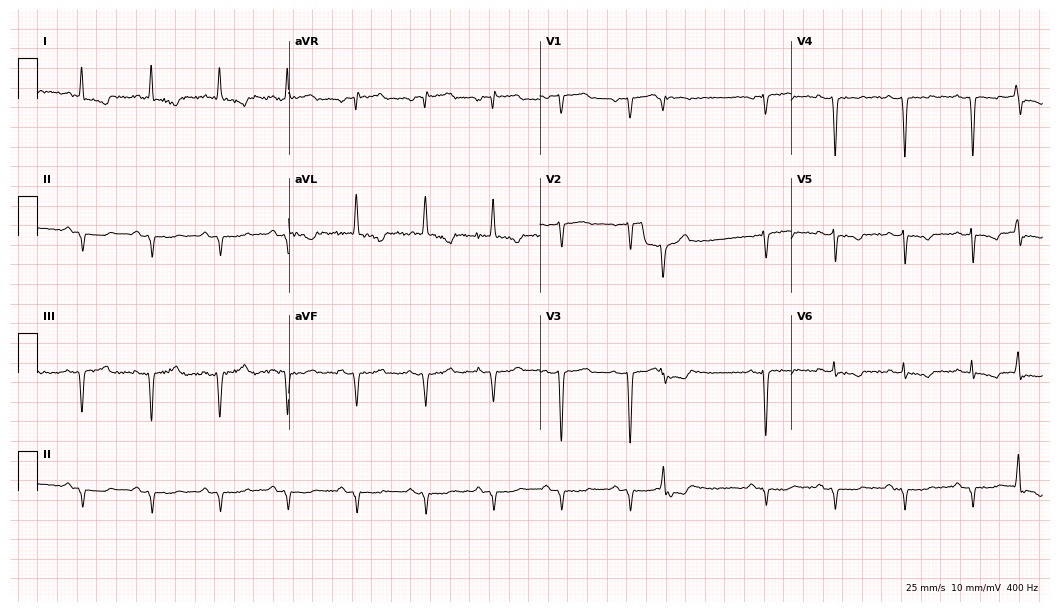
12-lead ECG (10.2-second recording at 400 Hz) from a female, 77 years old. Screened for six findings — first-degree AV block, right bundle branch block, left bundle branch block, sinus bradycardia, atrial fibrillation, sinus tachycardia — none is recorded.